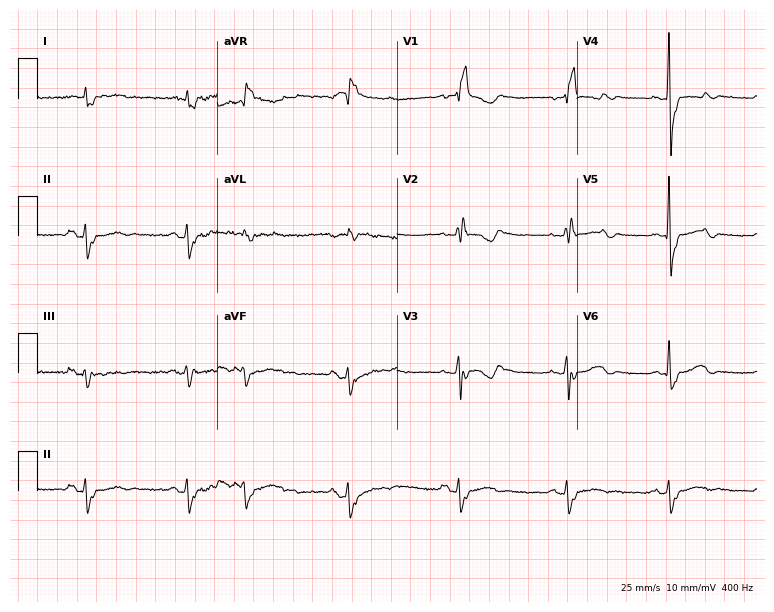
12-lead ECG from a female, 75 years old. No first-degree AV block, right bundle branch block (RBBB), left bundle branch block (LBBB), sinus bradycardia, atrial fibrillation (AF) or sinus tachycardia recorded for this tracing.